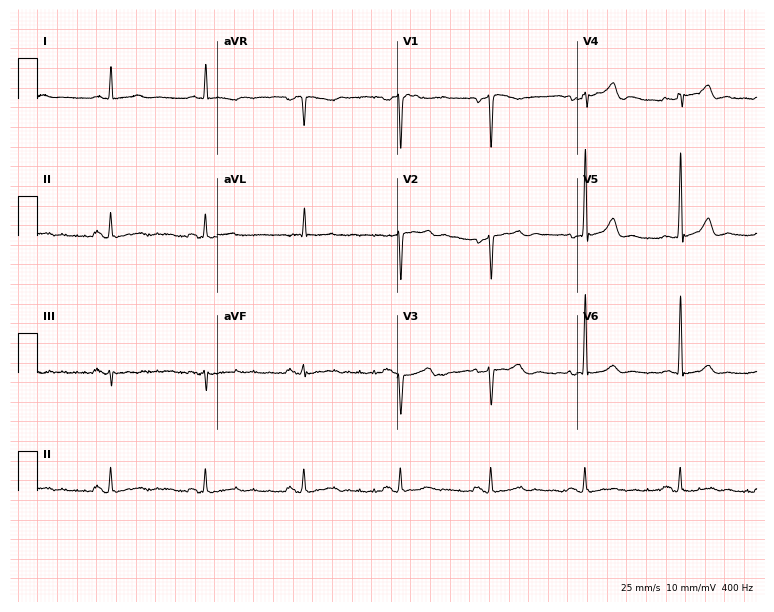
Electrocardiogram (7.3-second recording at 400 Hz), a male, 41 years old. Of the six screened findings (first-degree AV block, right bundle branch block (RBBB), left bundle branch block (LBBB), sinus bradycardia, atrial fibrillation (AF), sinus tachycardia), none is recorded. Only these six findings were labelled.